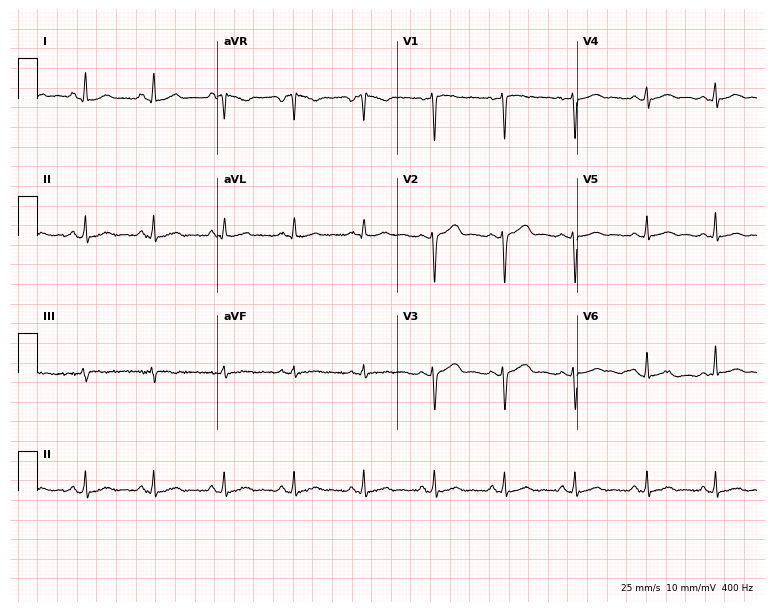
Electrocardiogram, a female patient, 26 years old. Overall reading on record: normal ECG.